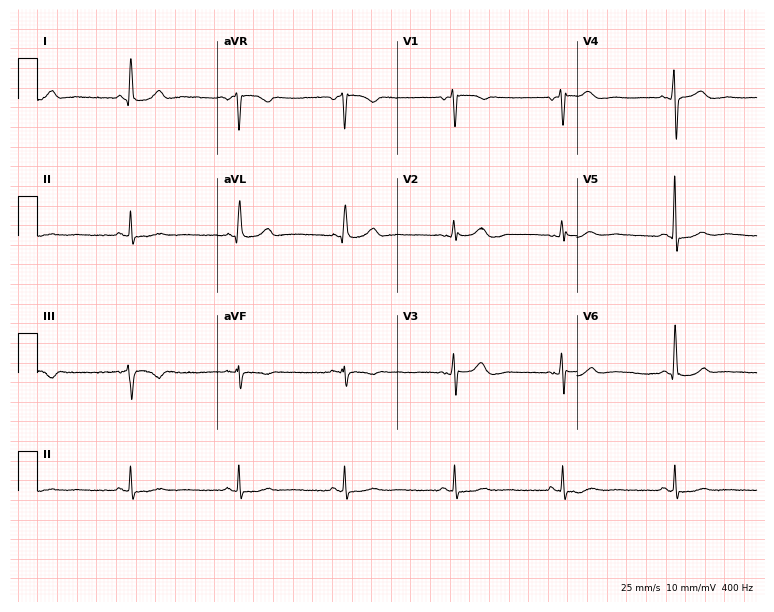
ECG — a female, 54 years old. Labelled as a normal ECG.